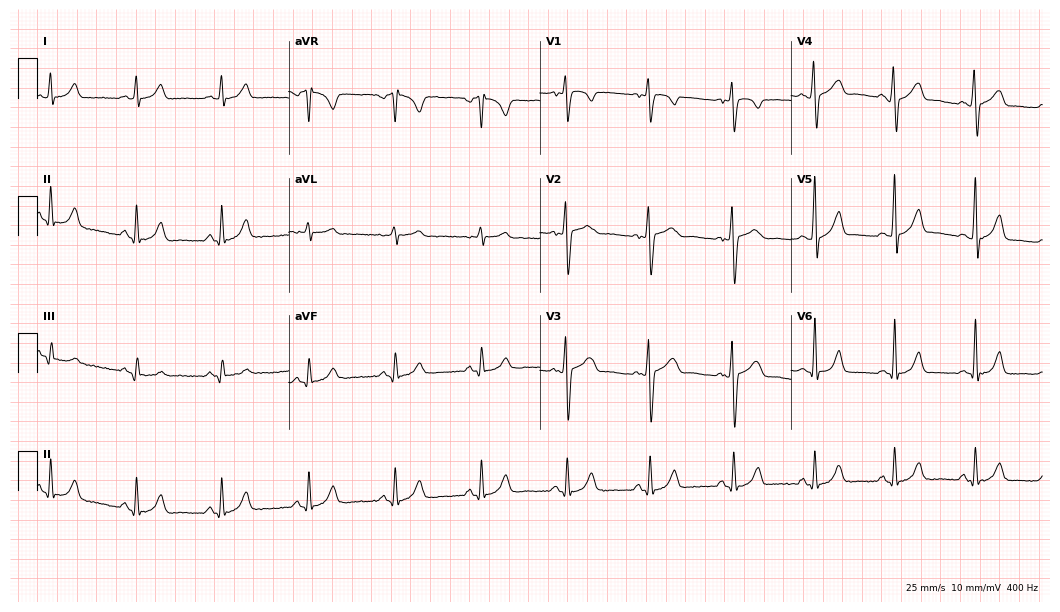
12-lead ECG from a 27-year-old male patient (10.2-second recording at 400 Hz). Recorded interpretation: within normal limits.